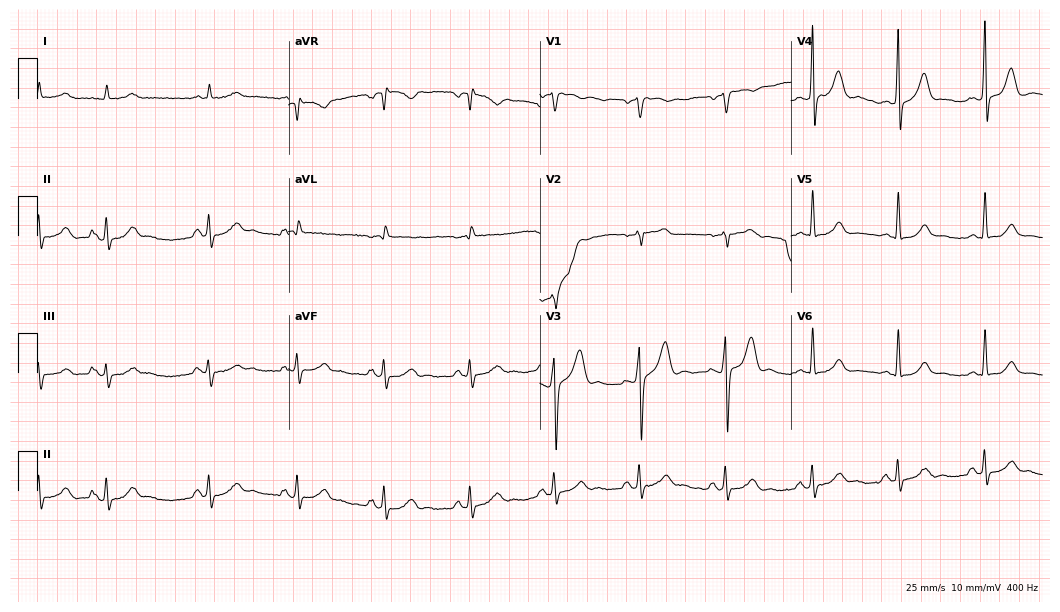
Resting 12-lead electrocardiogram. Patient: a man, 62 years old. Read as a normal ECG.